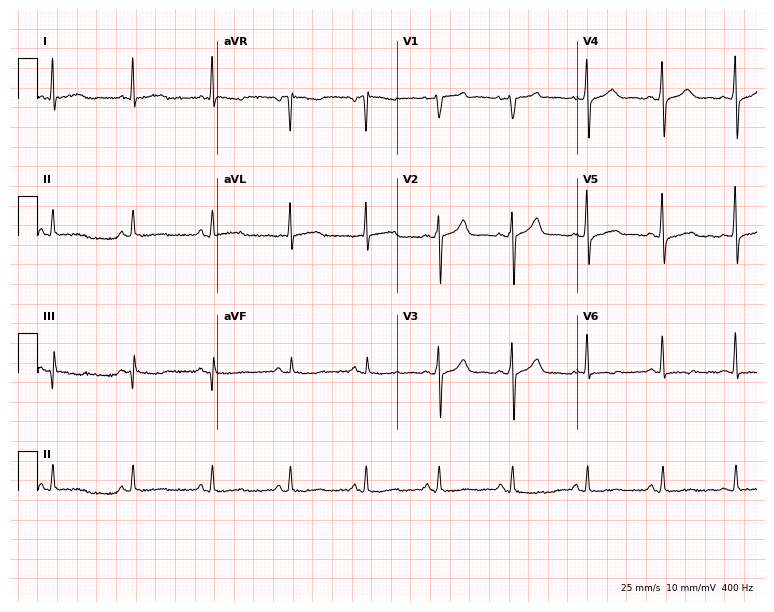
12-lead ECG from a male patient, 56 years old (7.3-second recording at 400 Hz). No first-degree AV block, right bundle branch block, left bundle branch block, sinus bradycardia, atrial fibrillation or sinus tachycardia recorded for this tracing. Findings outside these six are not listed.